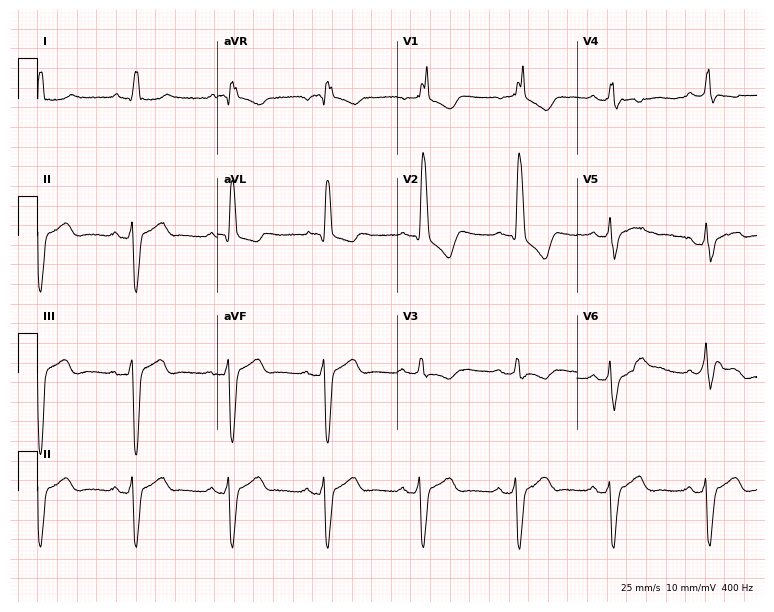
12-lead ECG from a female, 85 years old (7.3-second recording at 400 Hz). Shows right bundle branch block.